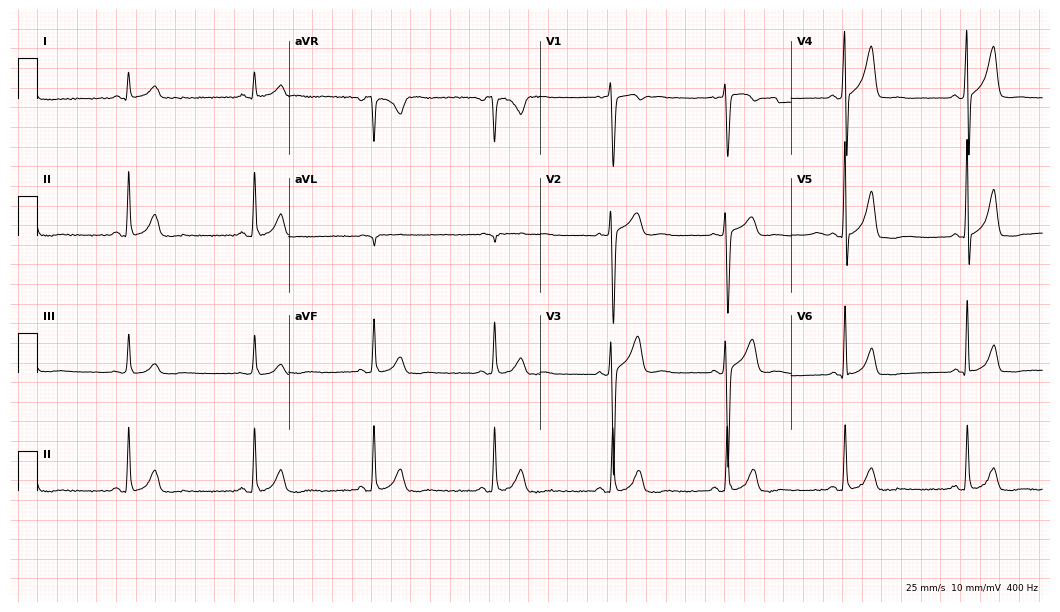
Electrocardiogram (10.2-second recording at 400 Hz), a male, 41 years old. Overall reading on record: normal ECG.